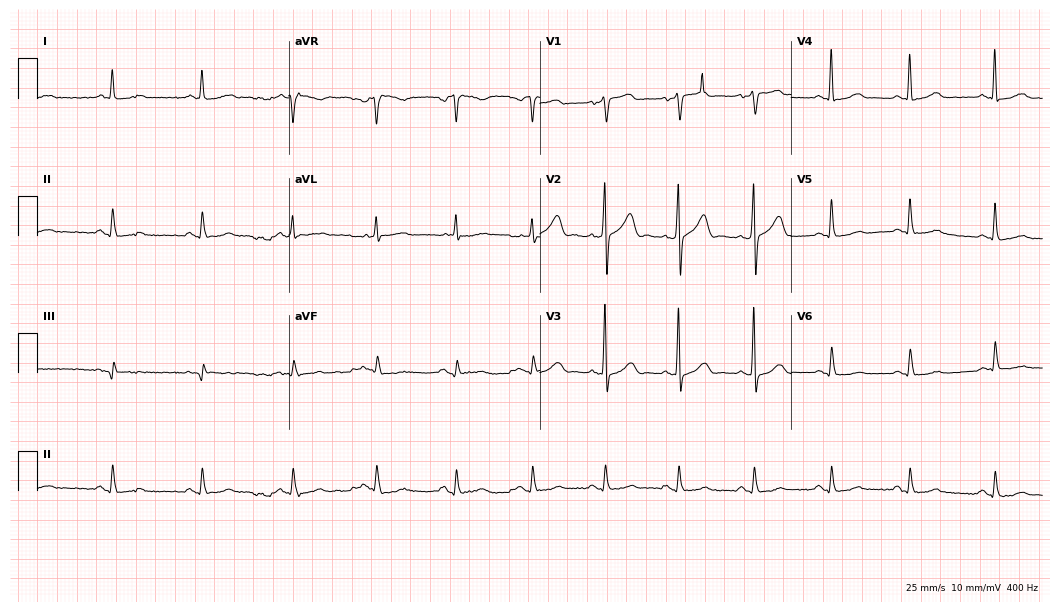
Standard 12-lead ECG recorded from a male patient, 64 years old (10.2-second recording at 400 Hz). Read as a normal ECG.